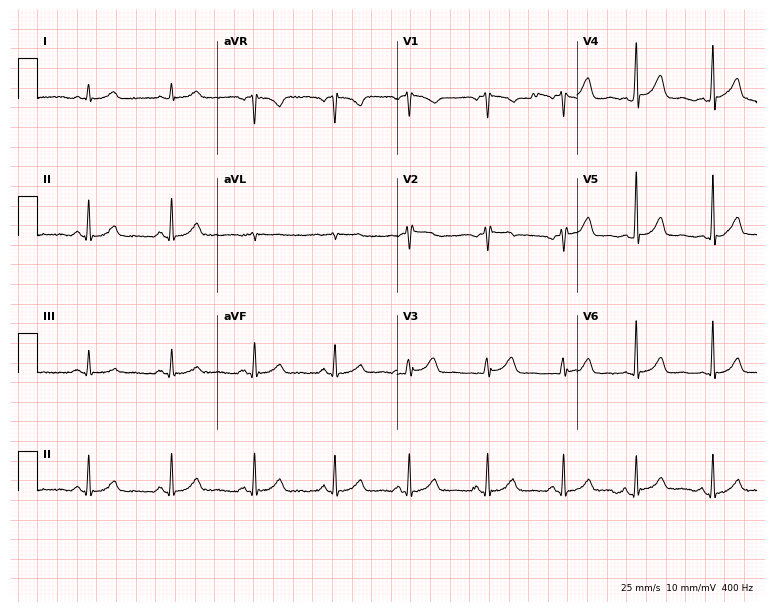
Electrocardiogram, a 52-year-old male patient. Overall reading on record: normal ECG.